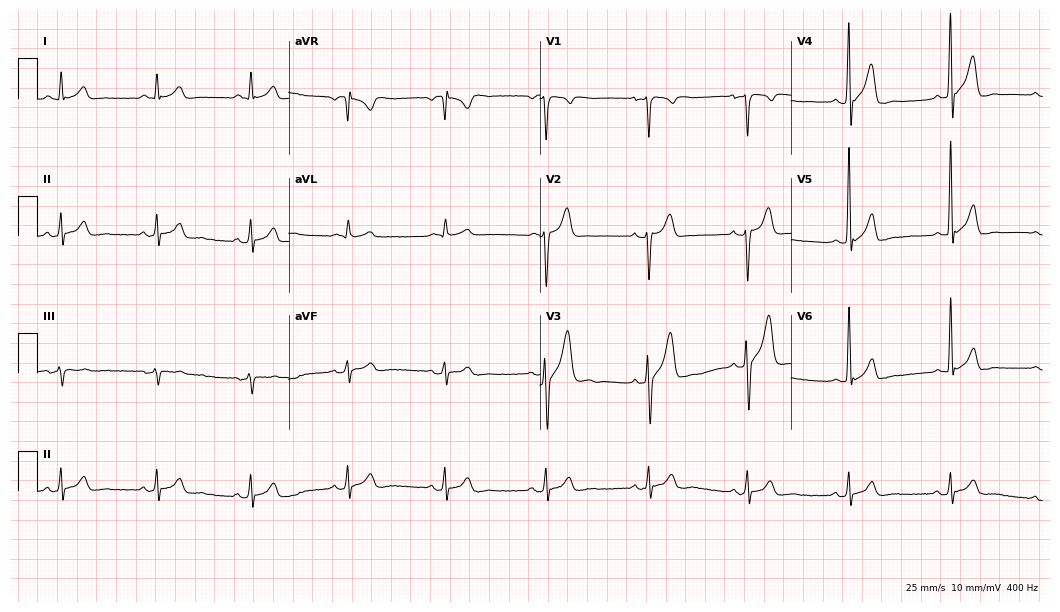
Resting 12-lead electrocardiogram. Patient: a male, 39 years old. Read as a normal ECG.